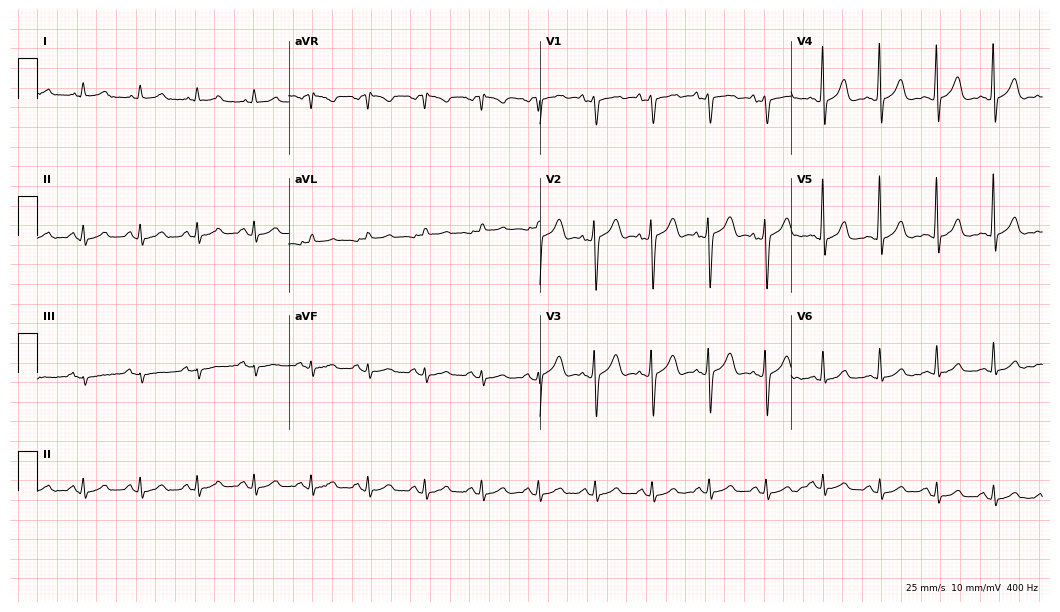
Resting 12-lead electrocardiogram (10.2-second recording at 400 Hz). Patient: a female, 50 years old. None of these six findings is recorded: first-degree AV block, right bundle branch block, left bundle branch block, sinus bradycardia, atrial fibrillation, sinus tachycardia.